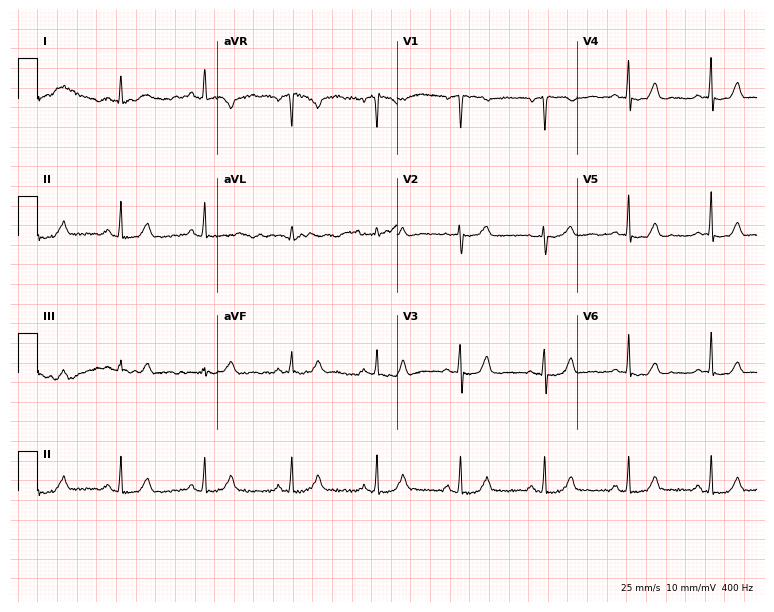
Electrocardiogram (7.3-second recording at 400 Hz), a female, 71 years old. Overall reading on record: normal ECG.